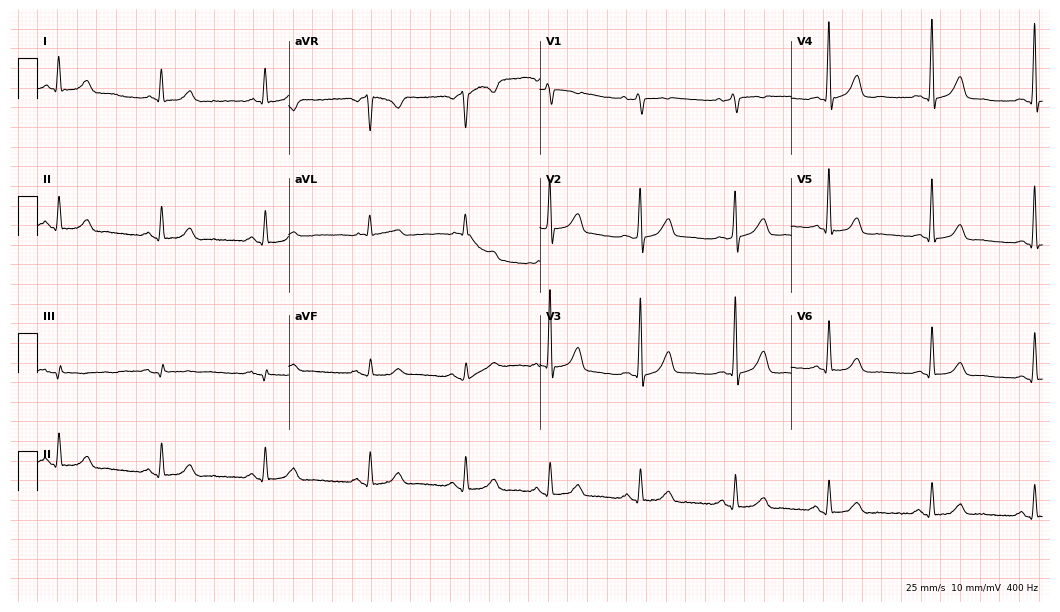
Resting 12-lead electrocardiogram (10.2-second recording at 400 Hz). Patient: a female, 63 years old. Read as a normal ECG.